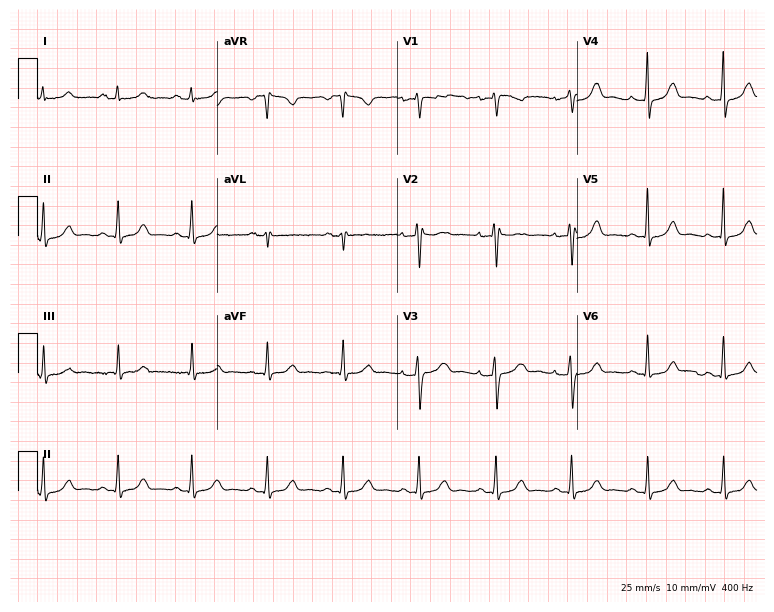
Standard 12-lead ECG recorded from a 40-year-old female patient. Read as a normal ECG.